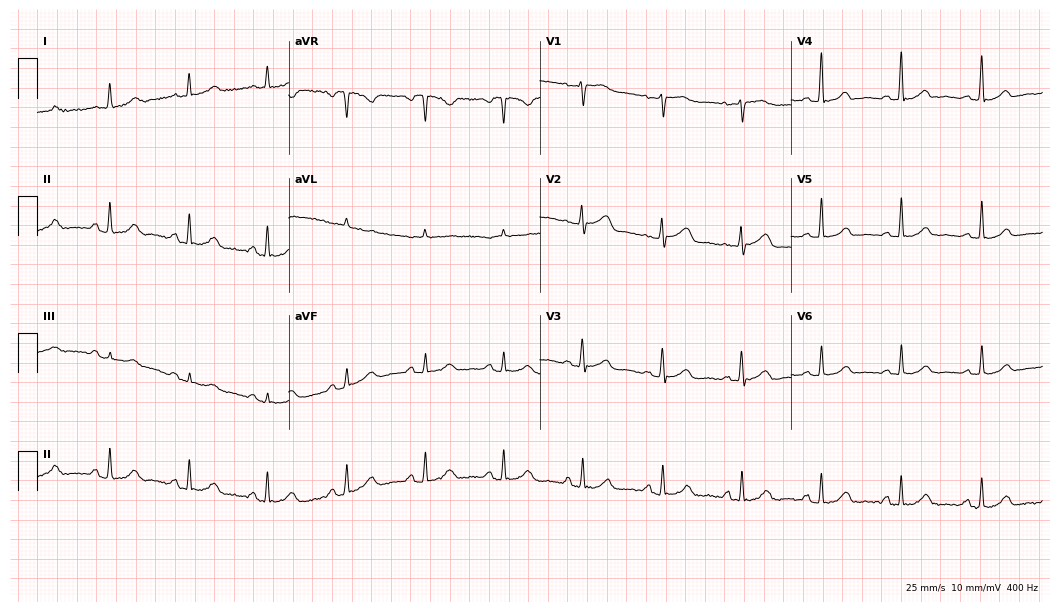
ECG (10.2-second recording at 400 Hz) — a 59-year-old female patient. Labelled as a normal ECG.